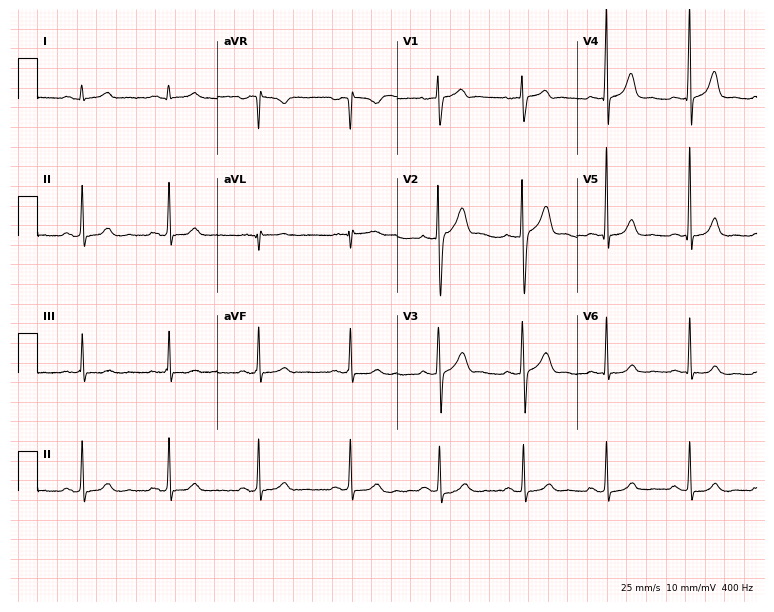
ECG (7.3-second recording at 400 Hz) — a 32-year-old male. Labelled as a normal ECG.